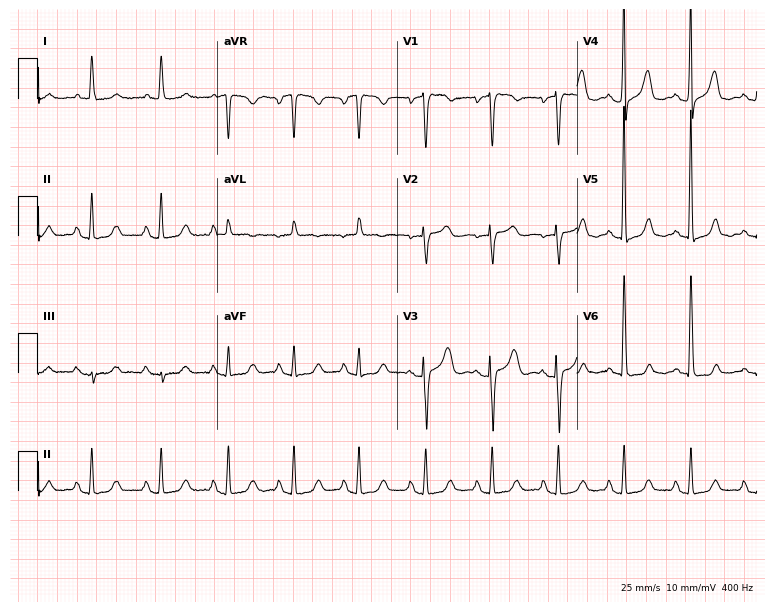
Standard 12-lead ECG recorded from a woman, 76 years old. Read as a normal ECG.